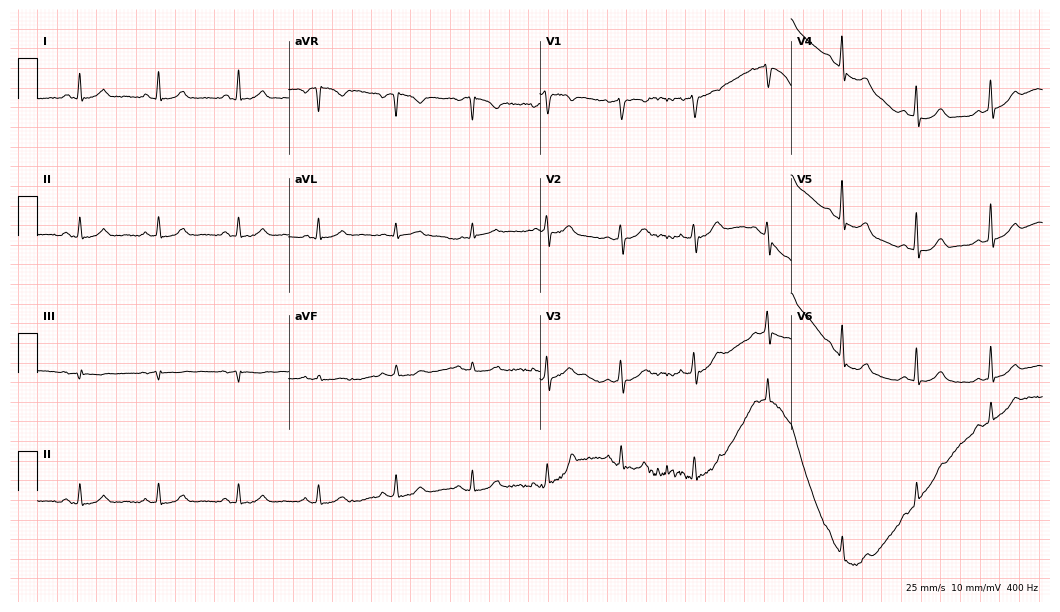
Standard 12-lead ECG recorded from a woman, 46 years old. Read as a normal ECG.